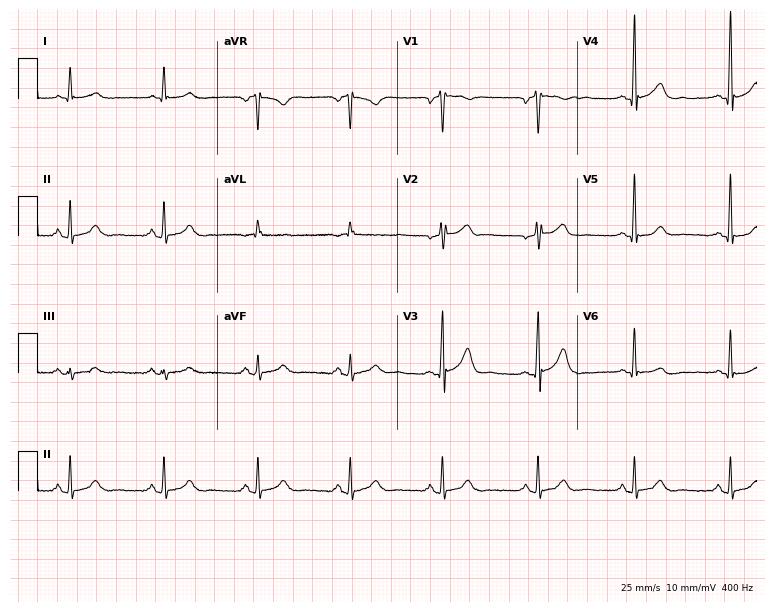
ECG — a woman, 66 years old. Labelled as a normal ECG.